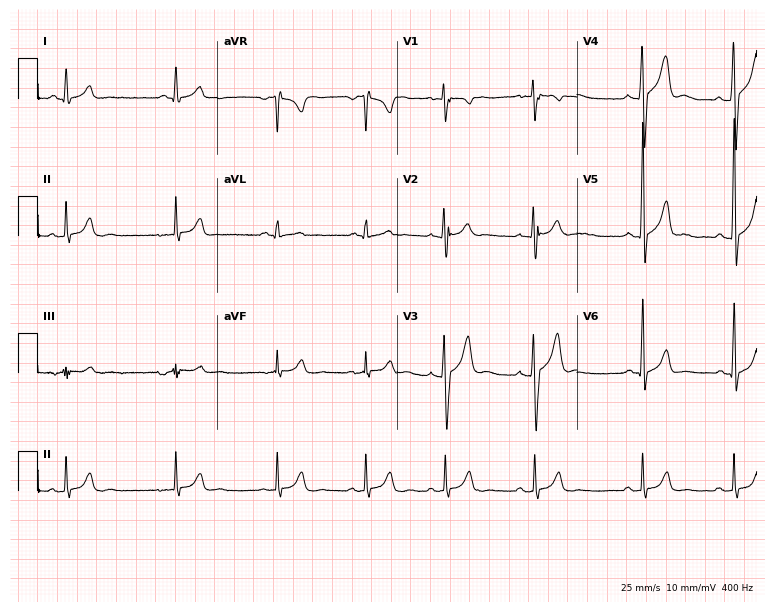
Resting 12-lead electrocardiogram. Patient: a 19-year-old male. Read as a normal ECG.